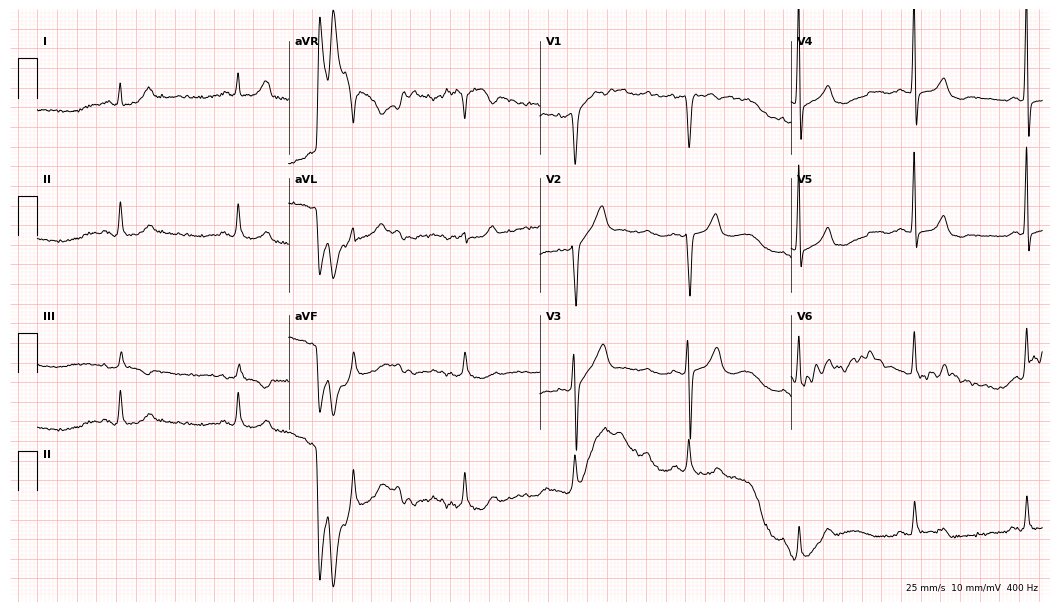
12-lead ECG from a 61-year-old man (10.2-second recording at 400 Hz). No first-degree AV block, right bundle branch block (RBBB), left bundle branch block (LBBB), sinus bradycardia, atrial fibrillation (AF) or sinus tachycardia recorded for this tracing. Findings outside these six are not listed.